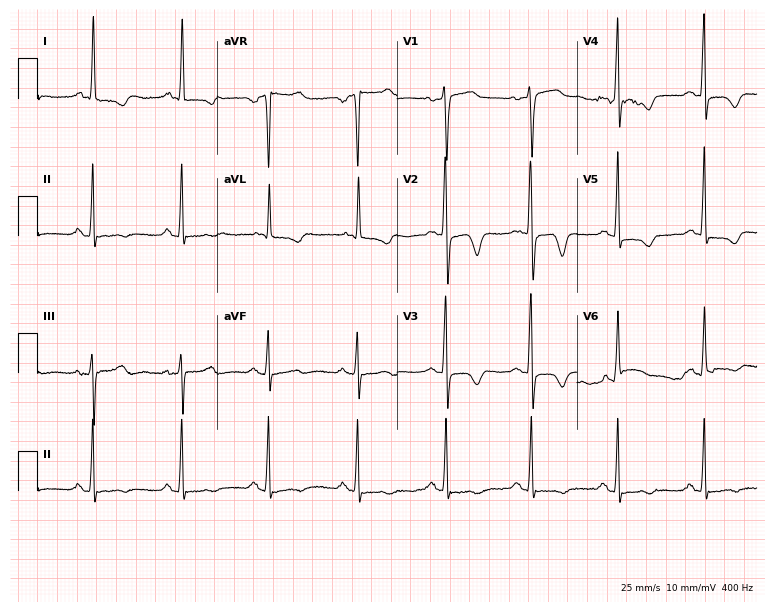
Electrocardiogram (7.3-second recording at 400 Hz), a woman, 73 years old. Of the six screened findings (first-degree AV block, right bundle branch block, left bundle branch block, sinus bradycardia, atrial fibrillation, sinus tachycardia), none is recorded.